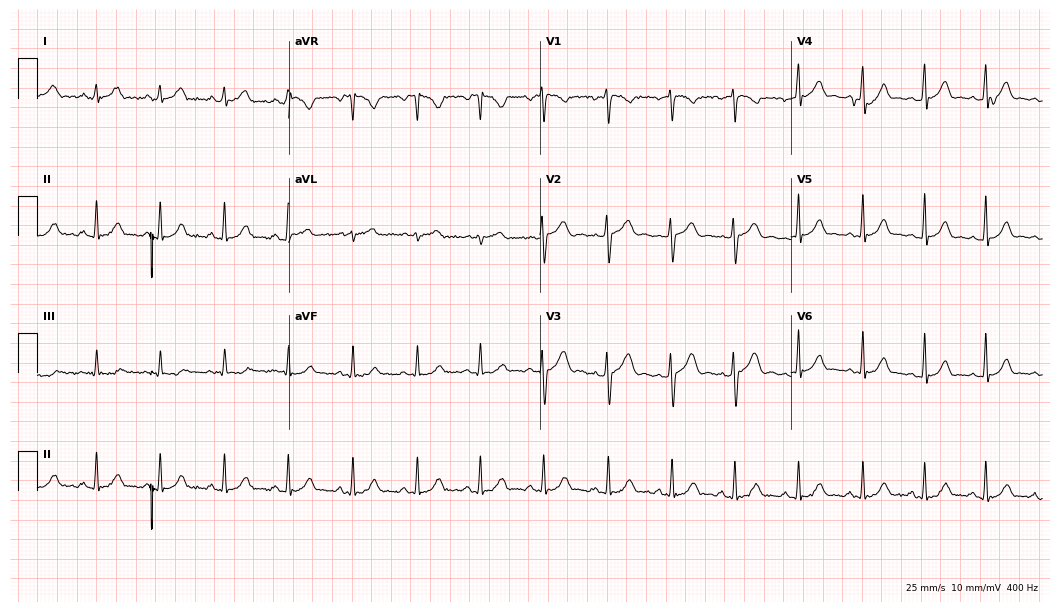
12-lead ECG from a 22-year-old female. Recorded interpretation: within normal limits.